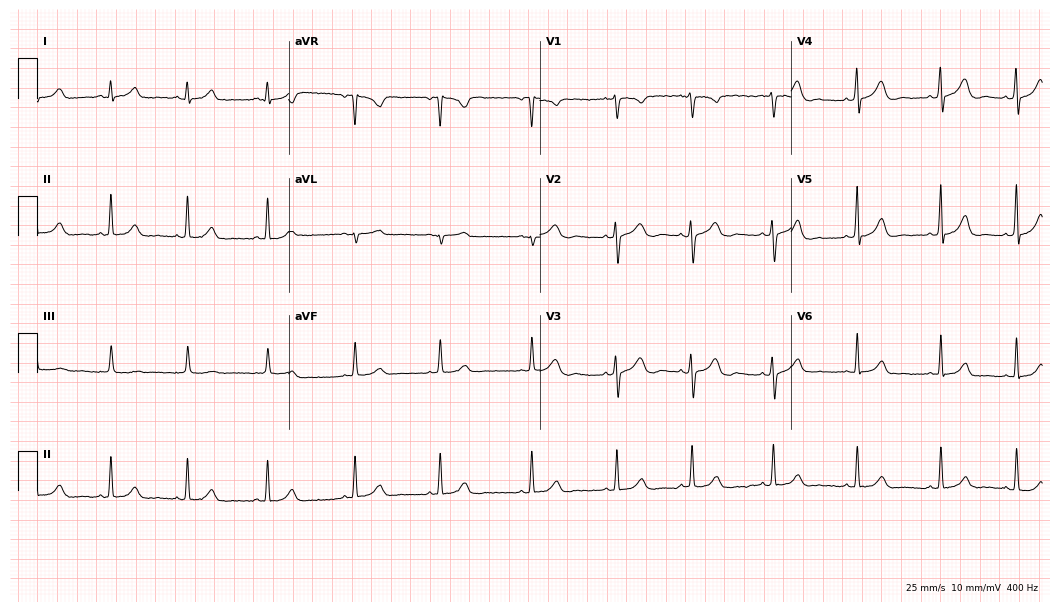
12-lead ECG from a female patient, 23 years old. Recorded interpretation: within normal limits.